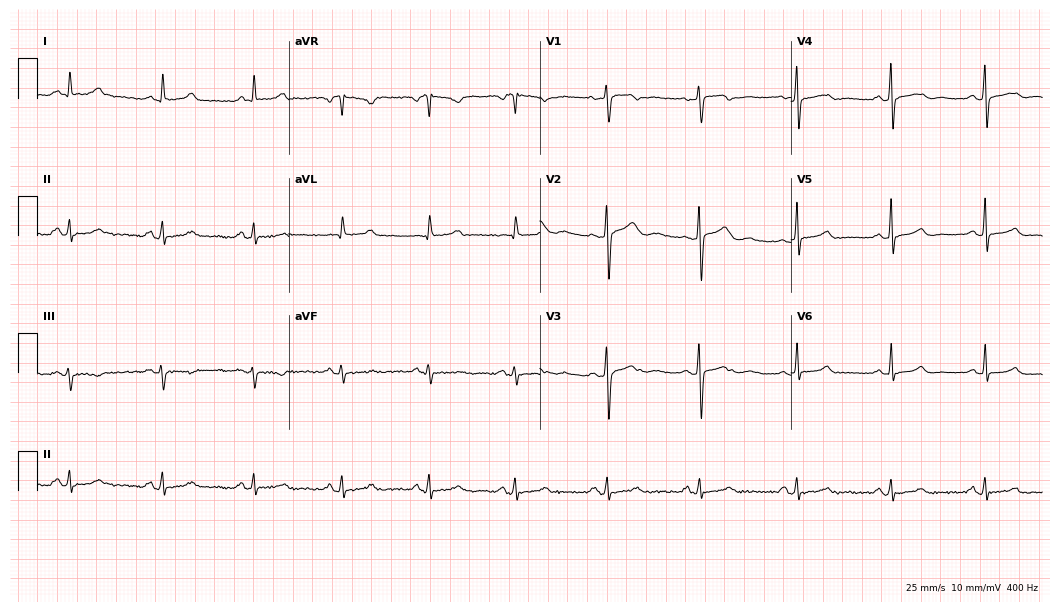
ECG (10.2-second recording at 400 Hz) — a woman, 43 years old. Screened for six findings — first-degree AV block, right bundle branch block (RBBB), left bundle branch block (LBBB), sinus bradycardia, atrial fibrillation (AF), sinus tachycardia — none is recorded. Other findings, if any, are not listed.